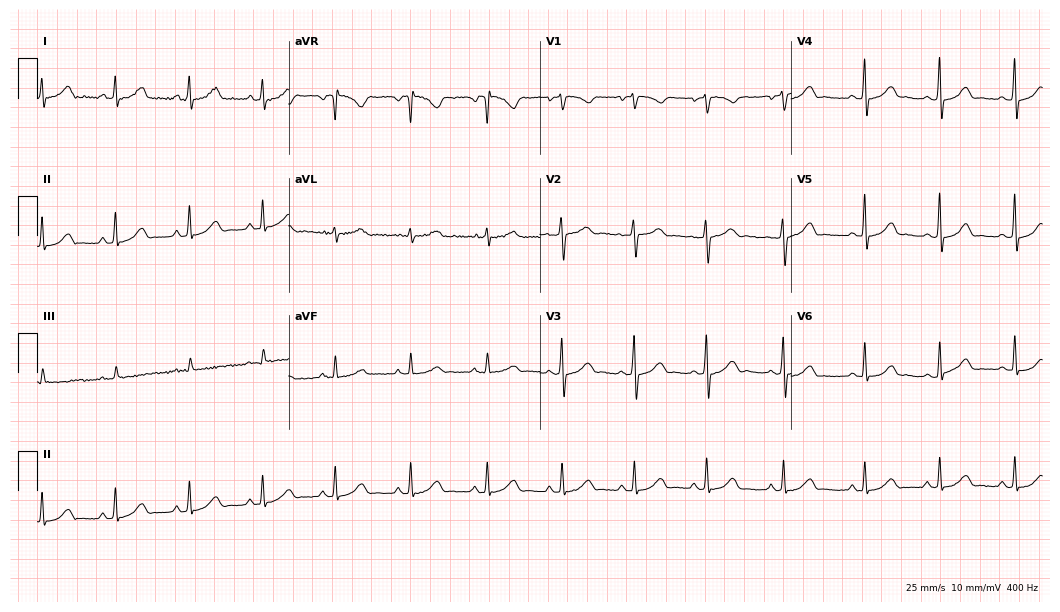
Standard 12-lead ECG recorded from a woman, 23 years old (10.2-second recording at 400 Hz). Read as a normal ECG.